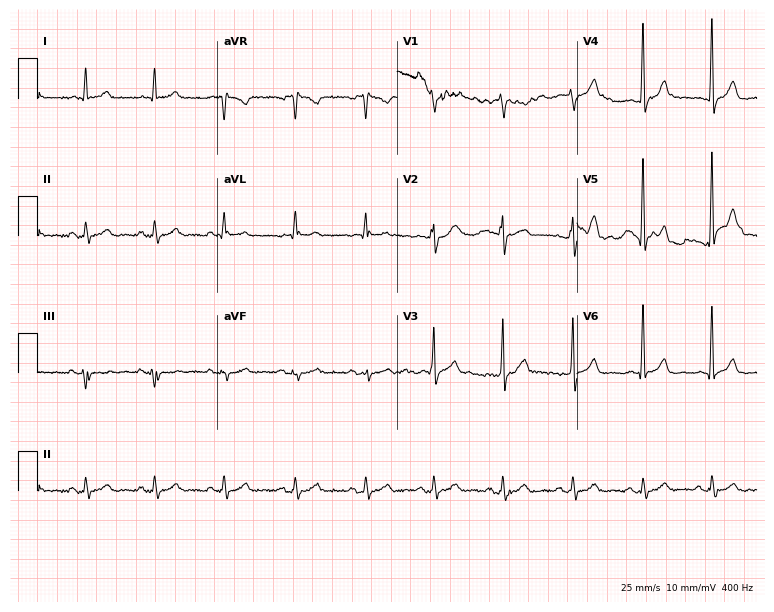
12-lead ECG from a 66-year-old man. Recorded interpretation: within normal limits.